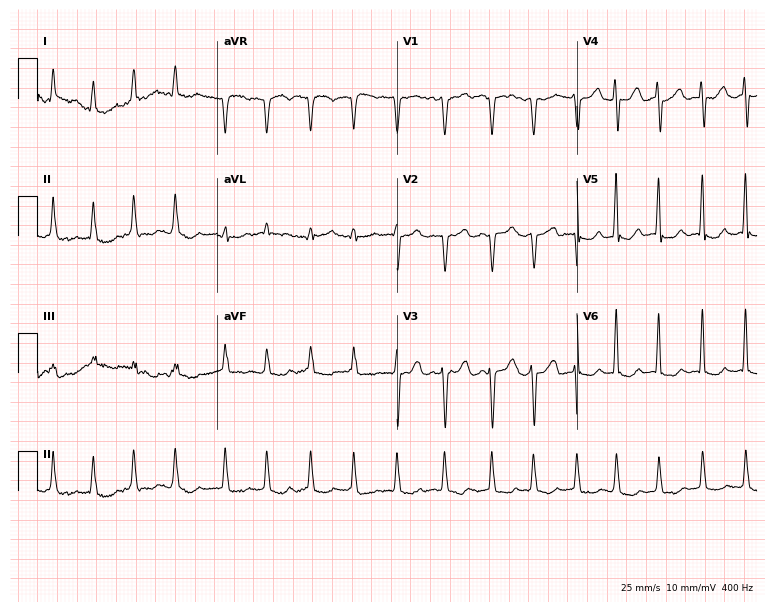
Standard 12-lead ECG recorded from a male, 42 years old. The tracing shows atrial fibrillation.